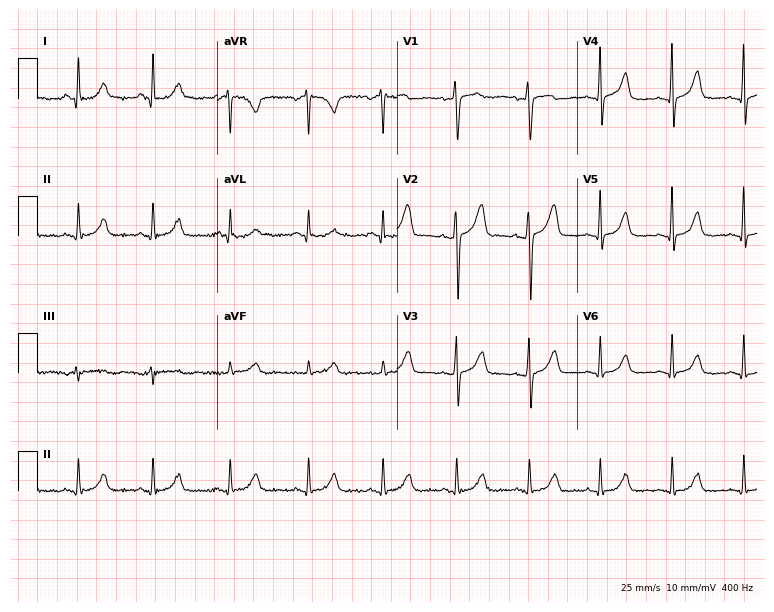
Electrocardiogram, a female patient, 48 years old. Overall reading on record: normal ECG.